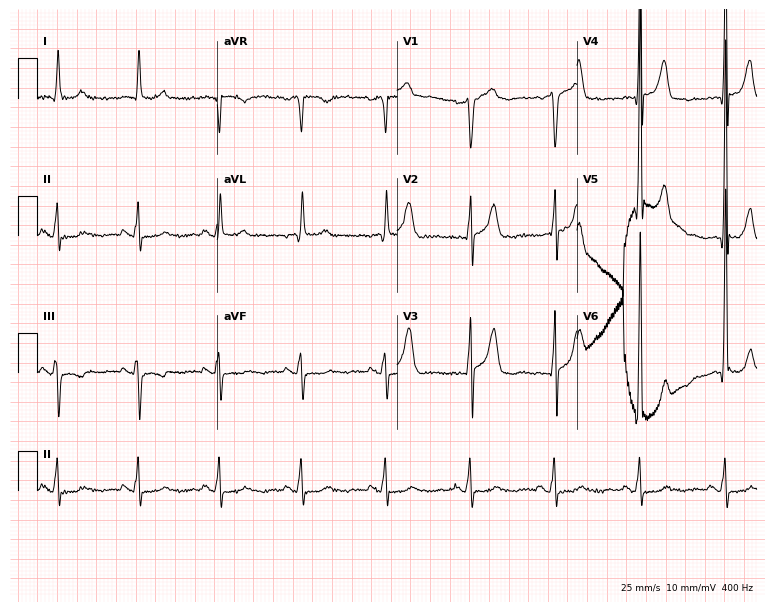
ECG (7.3-second recording at 400 Hz) — a 75-year-old male patient. Screened for six findings — first-degree AV block, right bundle branch block, left bundle branch block, sinus bradycardia, atrial fibrillation, sinus tachycardia — none is recorded.